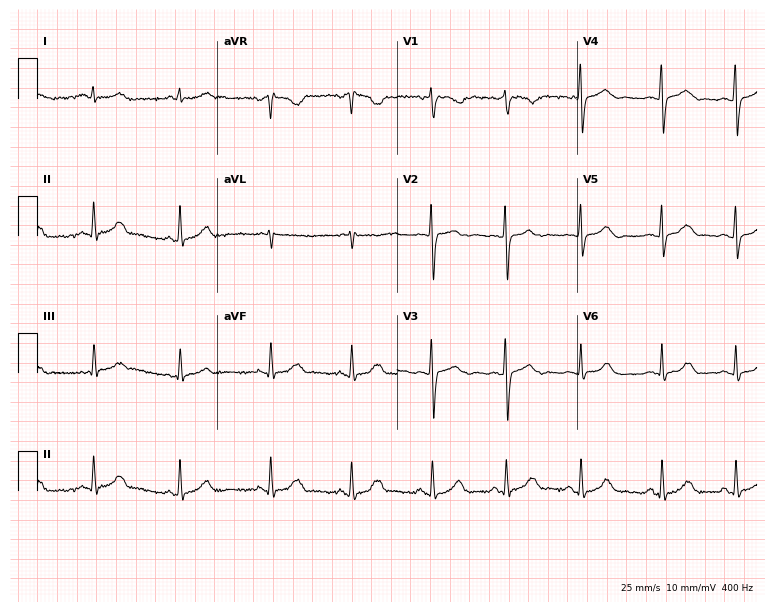
Resting 12-lead electrocardiogram (7.3-second recording at 400 Hz). Patient: a 19-year-old woman. Read as a normal ECG.